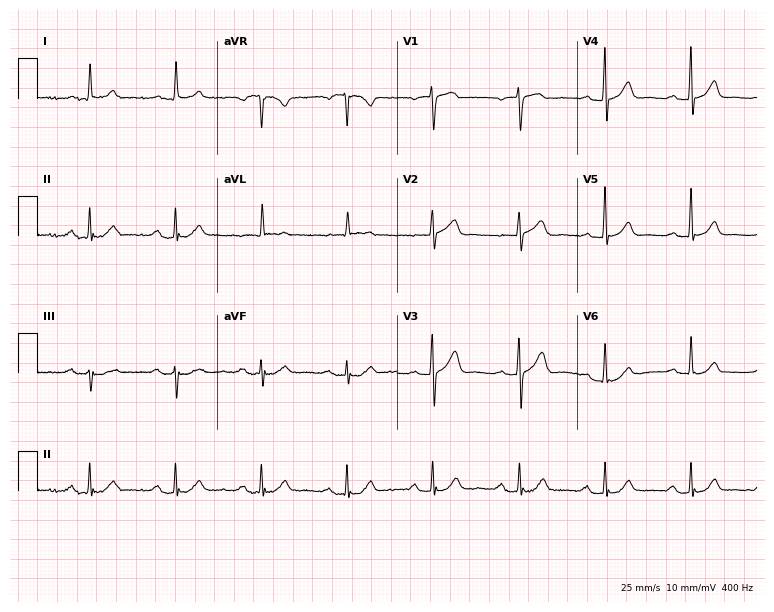
Standard 12-lead ECG recorded from a female patient, 82 years old (7.3-second recording at 400 Hz). Read as a normal ECG.